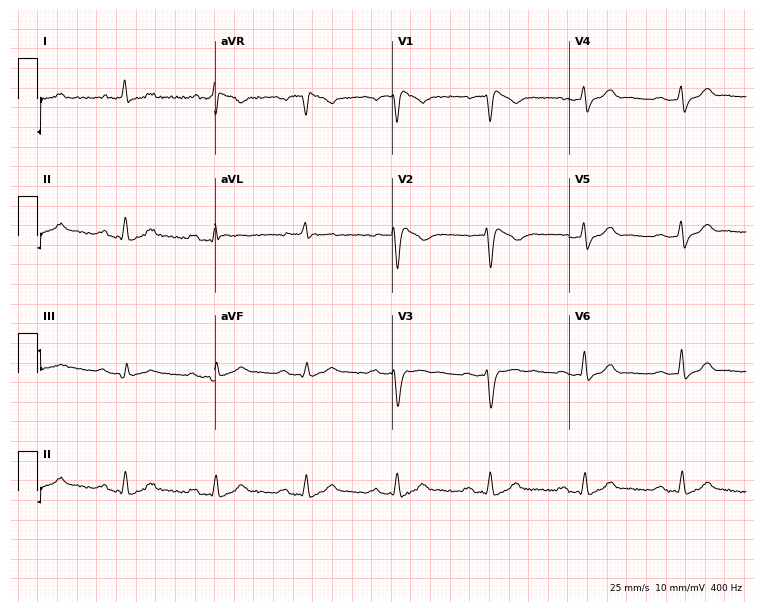
Resting 12-lead electrocardiogram (7.2-second recording at 400 Hz). Patient: a male, 52 years old. The tracing shows first-degree AV block.